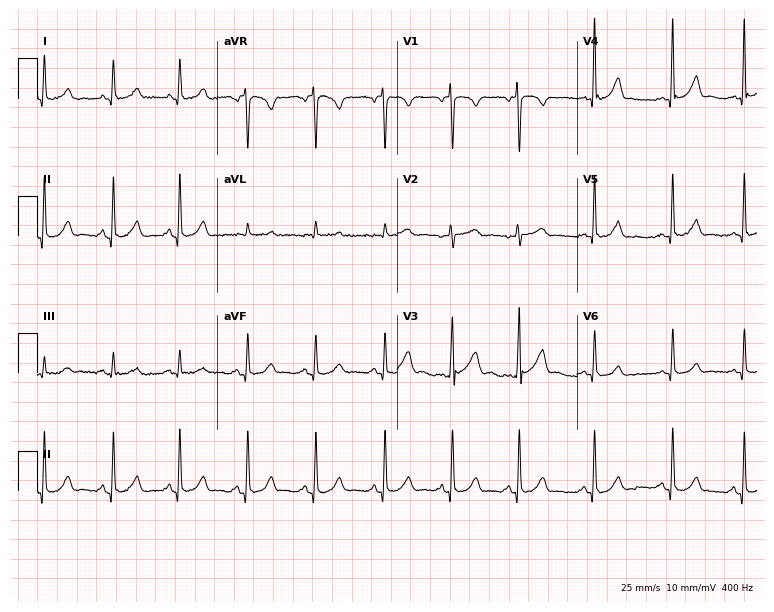
Resting 12-lead electrocardiogram (7.3-second recording at 400 Hz). Patient: a woman, 24 years old. Read as a normal ECG.